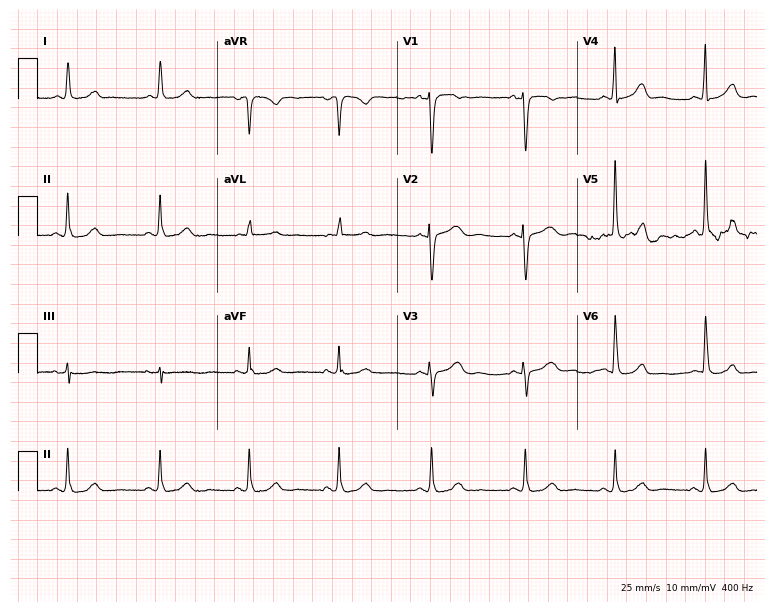
12-lead ECG (7.3-second recording at 400 Hz) from a female, 63 years old. Labelled as a normal ECG.